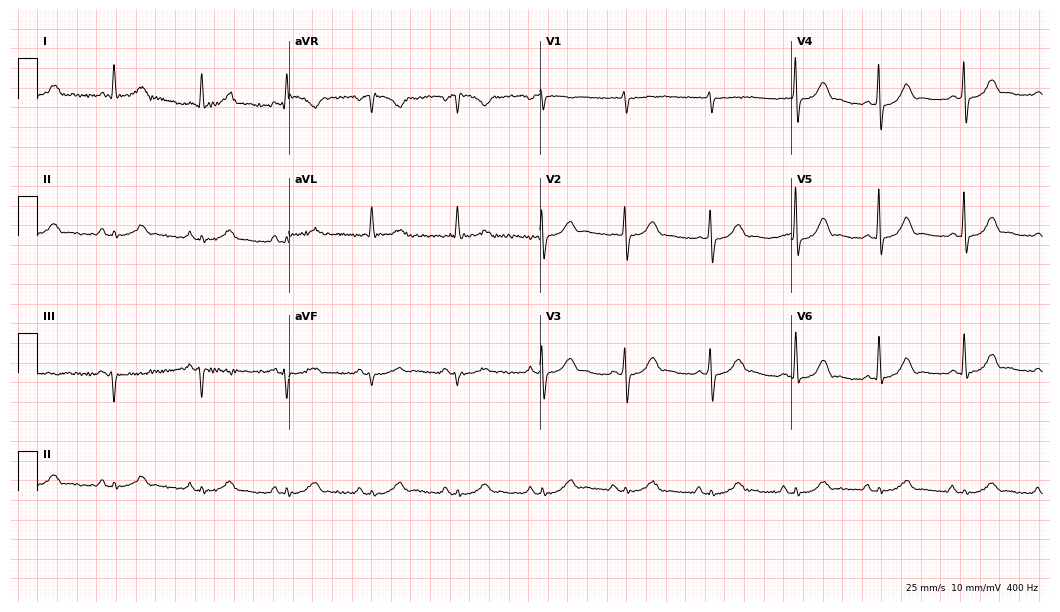
Electrocardiogram, a male, 69 years old. Of the six screened findings (first-degree AV block, right bundle branch block, left bundle branch block, sinus bradycardia, atrial fibrillation, sinus tachycardia), none is recorded. Only these six findings were labelled.